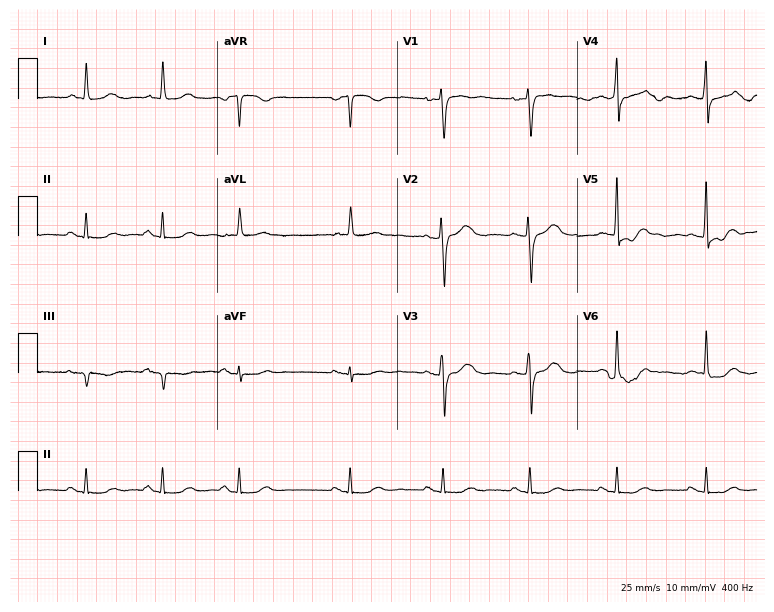
Electrocardiogram (7.3-second recording at 400 Hz), a female, 65 years old. Of the six screened findings (first-degree AV block, right bundle branch block, left bundle branch block, sinus bradycardia, atrial fibrillation, sinus tachycardia), none is recorded. Other findings, if any, are not listed.